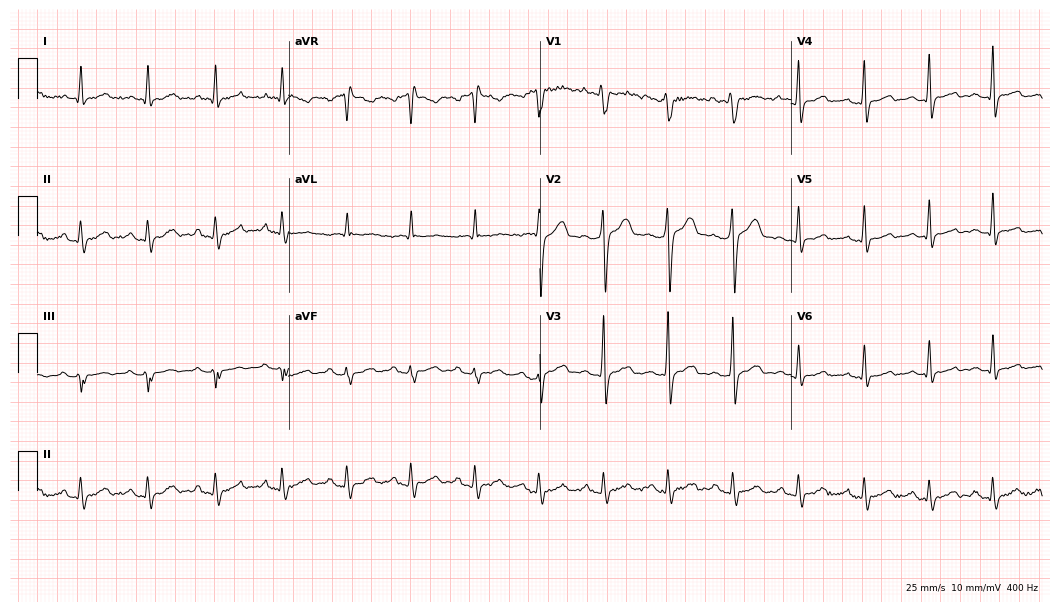
ECG — a male, 39 years old. Screened for six findings — first-degree AV block, right bundle branch block, left bundle branch block, sinus bradycardia, atrial fibrillation, sinus tachycardia — none is recorded.